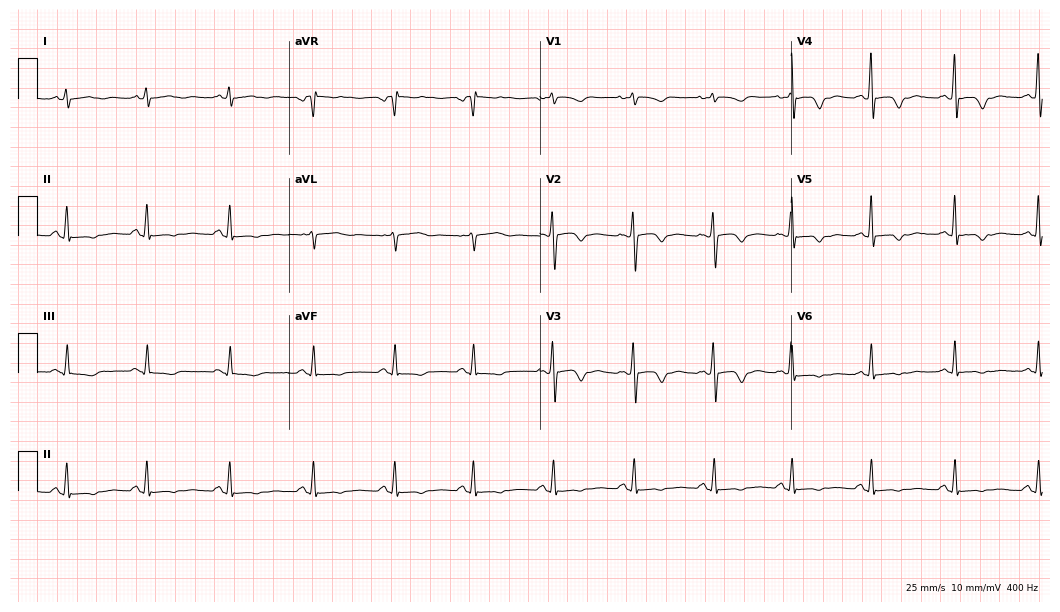
Standard 12-lead ECG recorded from a 36-year-old female patient. None of these six findings is recorded: first-degree AV block, right bundle branch block (RBBB), left bundle branch block (LBBB), sinus bradycardia, atrial fibrillation (AF), sinus tachycardia. Findings outside these six are not listed.